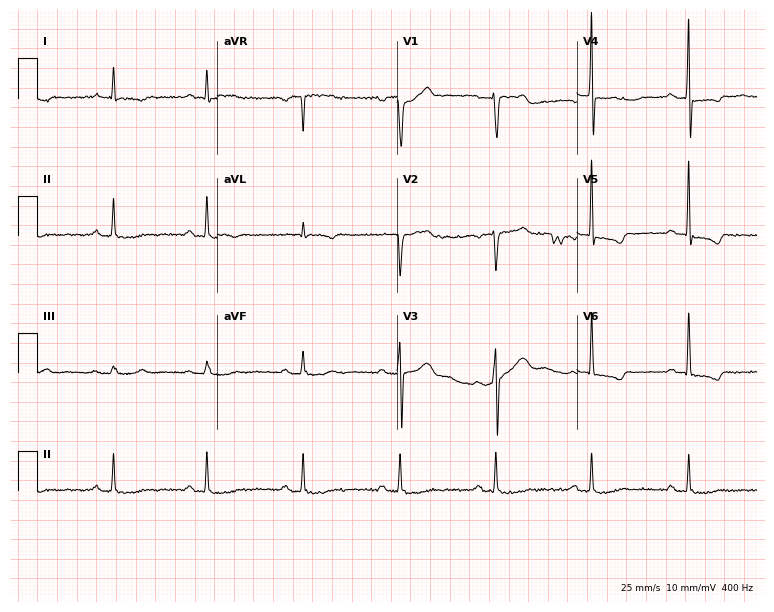
12-lead ECG (7.3-second recording at 400 Hz) from a man, 70 years old. Screened for six findings — first-degree AV block, right bundle branch block, left bundle branch block, sinus bradycardia, atrial fibrillation, sinus tachycardia — none is recorded. Findings outside these six are not listed.